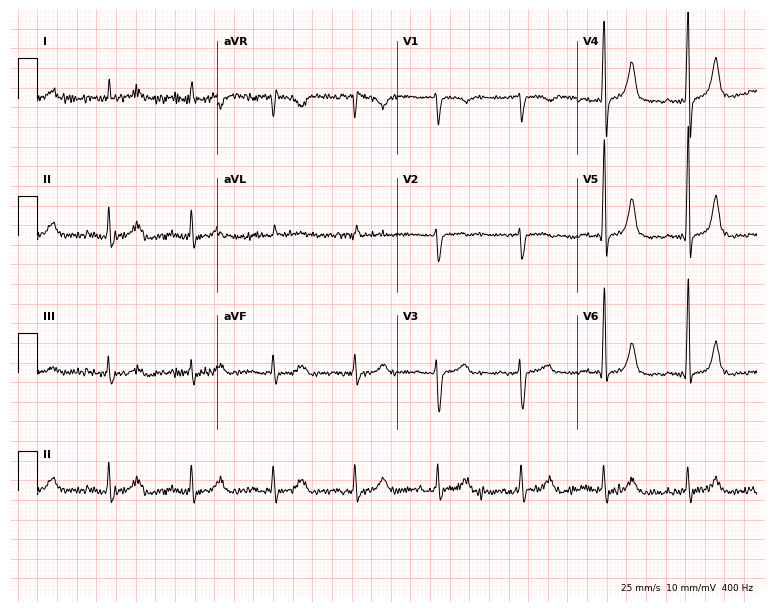
12-lead ECG from a male, 77 years old (7.3-second recording at 400 Hz). No first-degree AV block, right bundle branch block (RBBB), left bundle branch block (LBBB), sinus bradycardia, atrial fibrillation (AF) or sinus tachycardia recorded for this tracing.